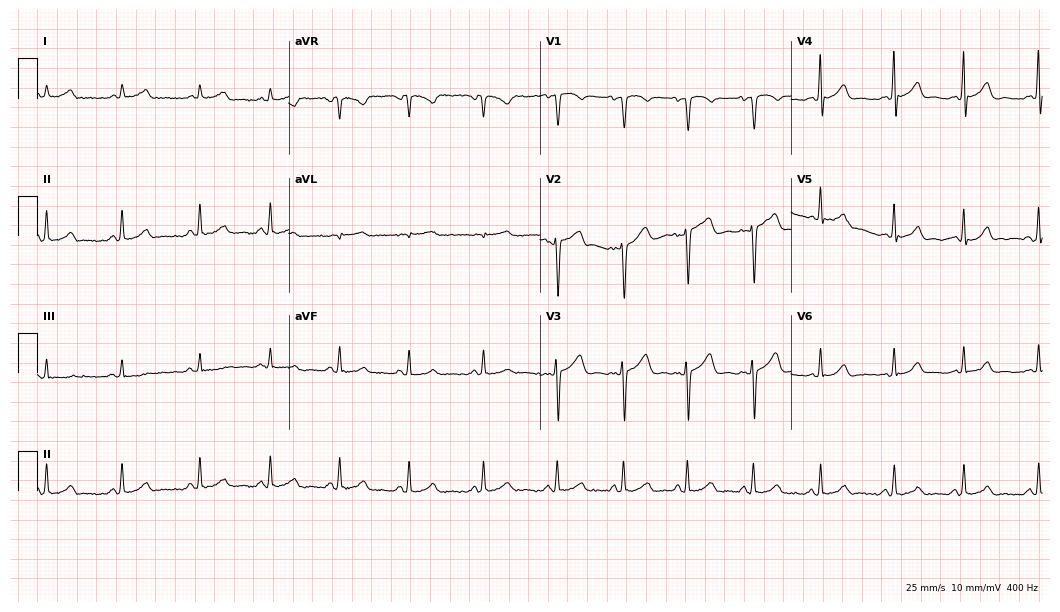
Electrocardiogram, a 48-year-old woman. Overall reading on record: normal ECG.